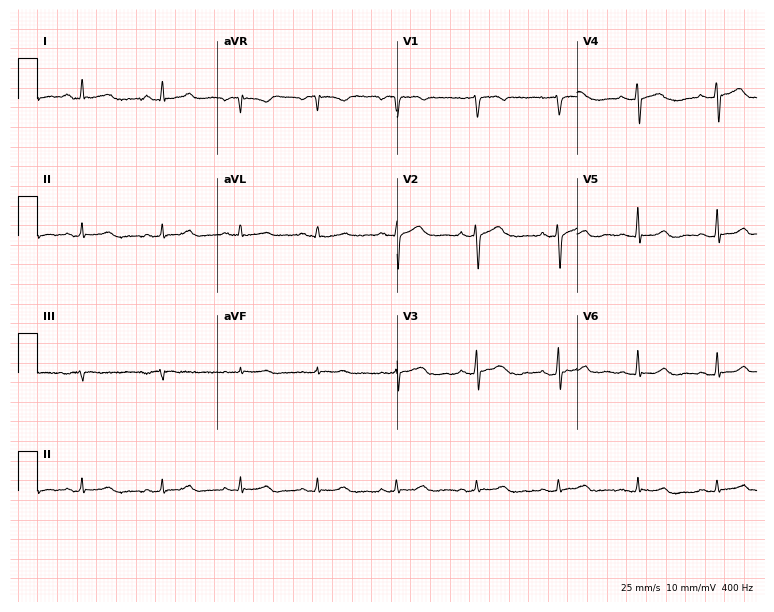
ECG — a woman, 53 years old. Screened for six findings — first-degree AV block, right bundle branch block (RBBB), left bundle branch block (LBBB), sinus bradycardia, atrial fibrillation (AF), sinus tachycardia — none is recorded. Other findings, if any, are not listed.